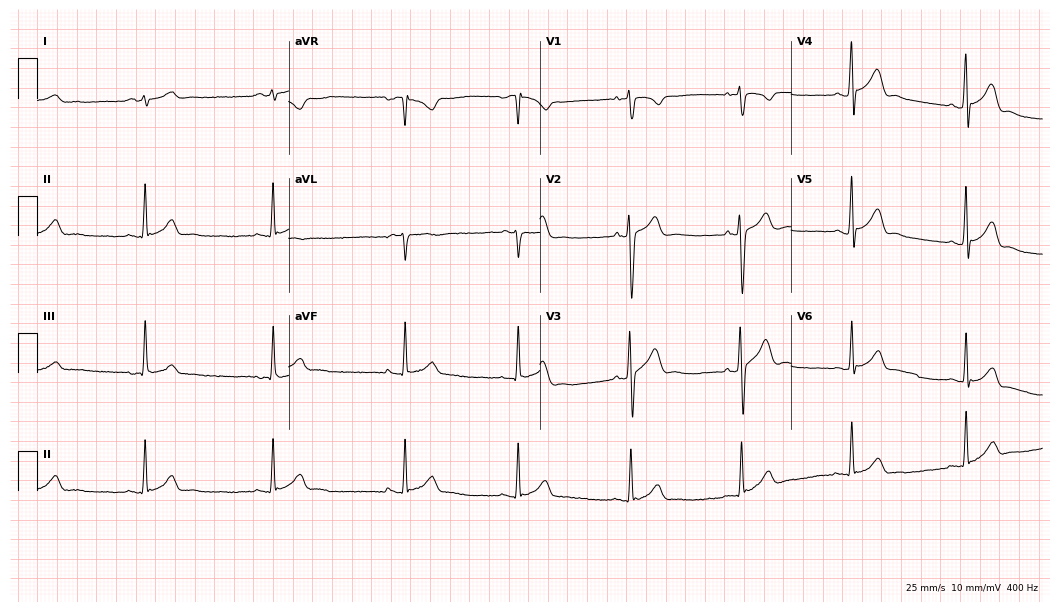
Electrocardiogram, a 26-year-old man. Of the six screened findings (first-degree AV block, right bundle branch block (RBBB), left bundle branch block (LBBB), sinus bradycardia, atrial fibrillation (AF), sinus tachycardia), none is recorded.